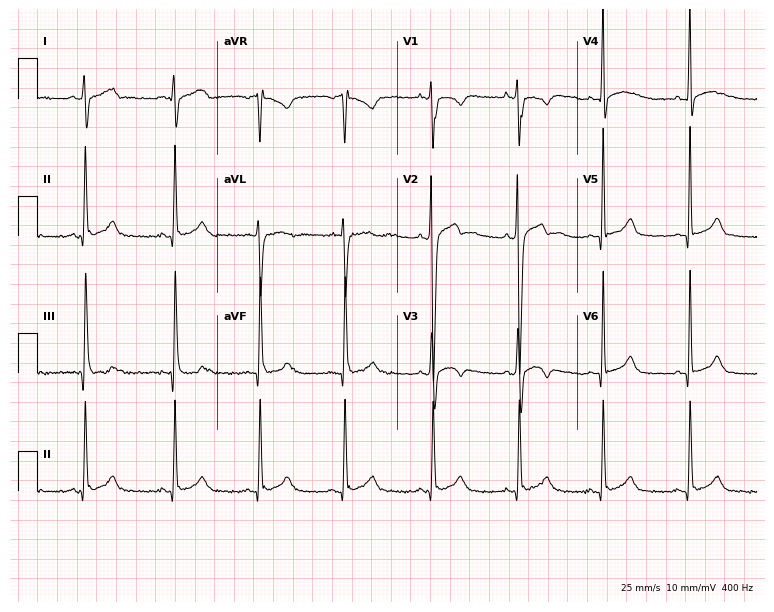
Resting 12-lead electrocardiogram. Patient: a 20-year-old male. None of these six findings is recorded: first-degree AV block, right bundle branch block, left bundle branch block, sinus bradycardia, atrial fibrillation, sinus tachycardia. Only these six findings were labelled.